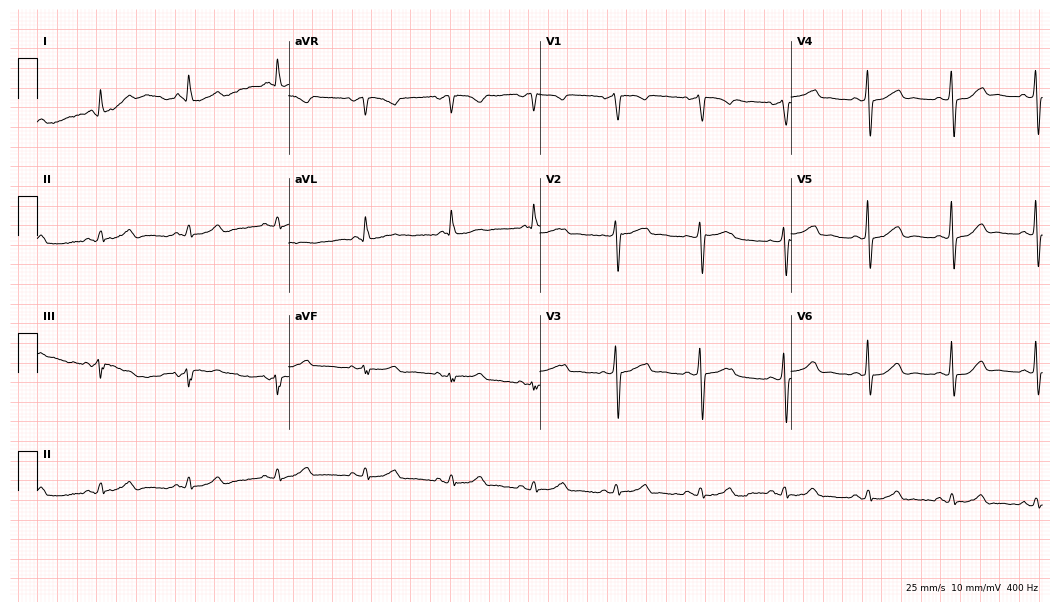
Standard 12-lead ECG recorded from a 64-year-old male (10.2-second recording at 400 Hz). Read as a normal ECG.